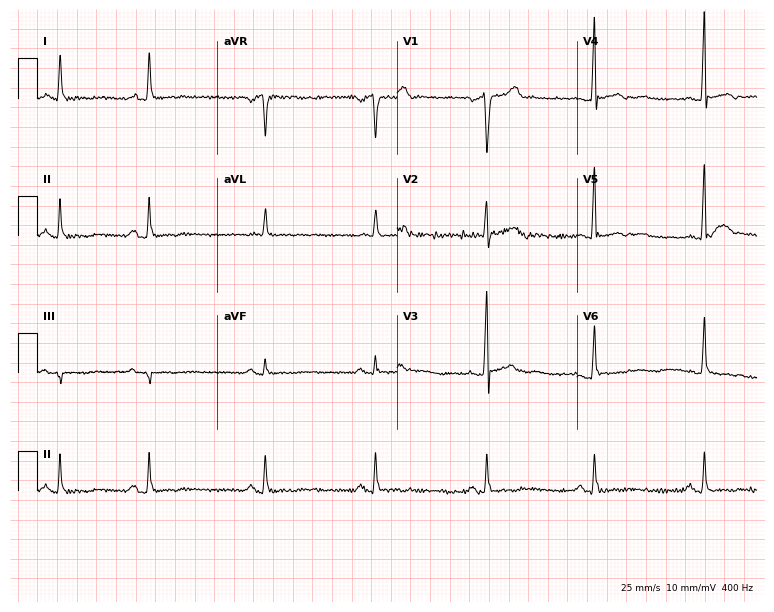
Electrocardiogram, a 74-year-old male. Of the six screened findings (first-degree AV block, right bundle branch block, left bundle branch block, sinus bradycardia, atrial fibrillation, sinus tachycardia), none is recorded.